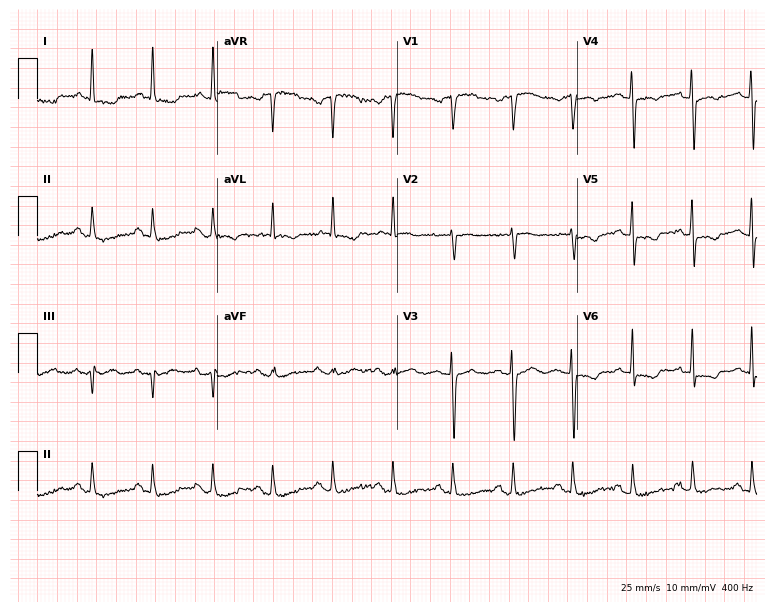
Resting 12-lead electrocardiogram. Patient: a woman, 72 years old. None of these six findings is recorded: first-degree AV block, right bundle branch block, left bundle branch block, sinus bradycardia, atrial fibrillation, sinus tachycardia. Findings outside these six are not listed.